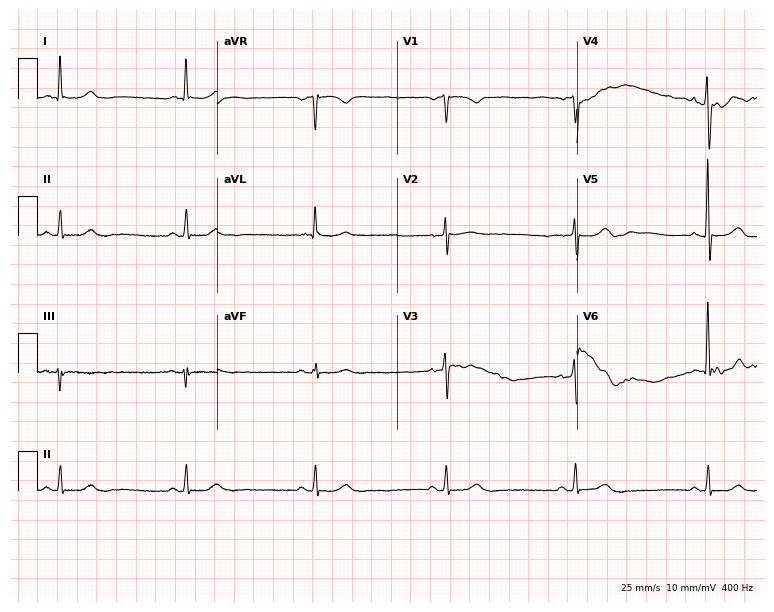
Resting 12-lead electrocardiogram. Patient: an 85-year-old male. None of these six findings is recorded: first-degree AV block, right bundle branch block, left bundle branch block, sinus bradycardia, atrial fibrillation, sinus tachycardia.